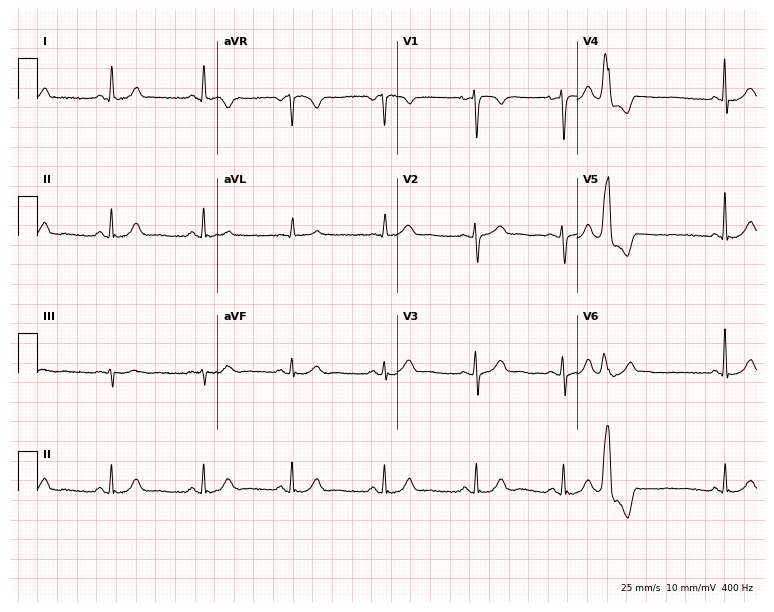
12-lead ECG from a 43-year-old female patient. No first-degree AV block, right bundle branch block, left bundle branch block, sinus bradycardia, atrial fibrillation or sinus tachycardia recorded for this tracing. Other findings, if any, are not listed.